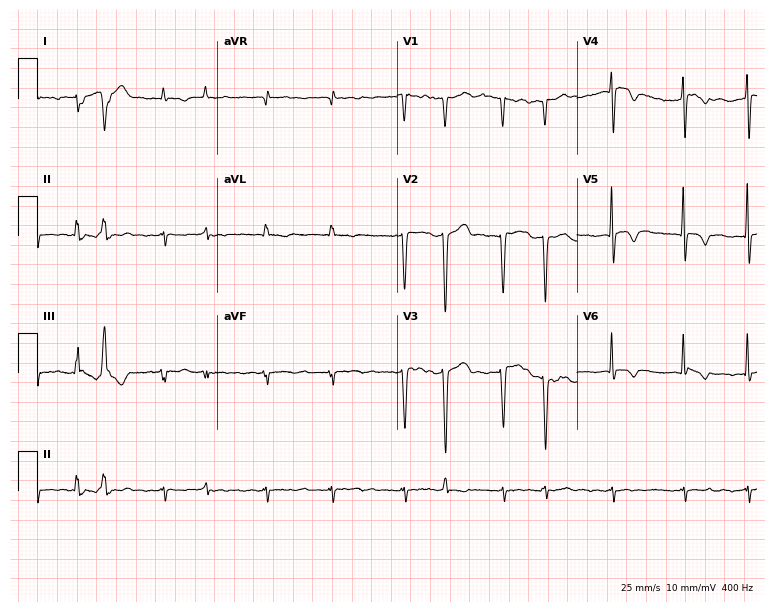
Standard 12-lead ECG recorded from a 70-year-old male patient (7.3-second recording at 400 Hz). The tracing shows atrial fibrillation.